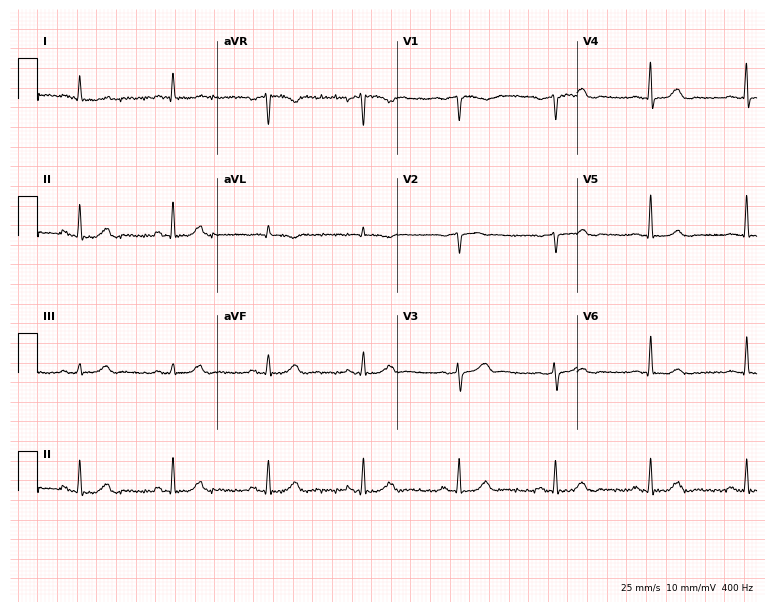
Standard 12-lead ECG recorded from a 73-year-old woman. Read as a normal ECG.